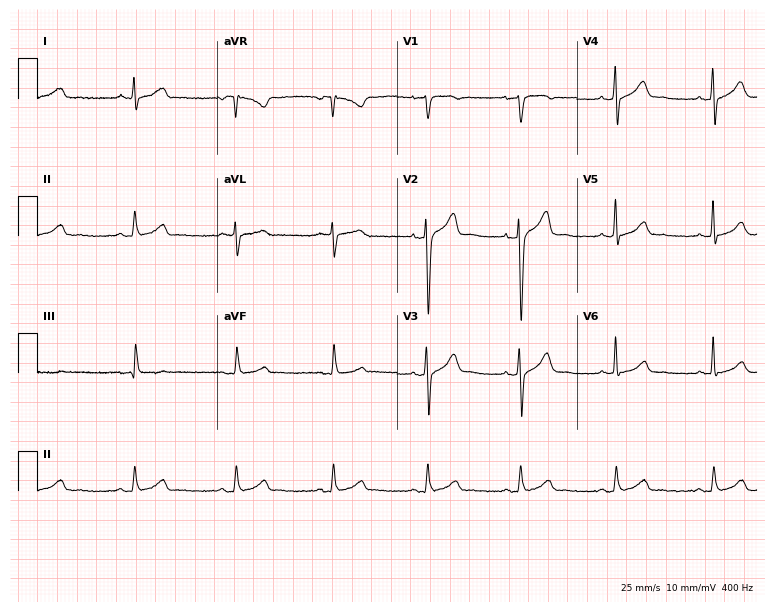
Standard 12-lead ECG recorded from a male, 27 years old. None of these six findings is recorded: first-degree AV block, right bundle branch block (RBBB), left bundle branch block (LBBB), sinus bradycardia, atrial fibrillation (AF), sinus tachycardia. Other findings, if any, are not listed.